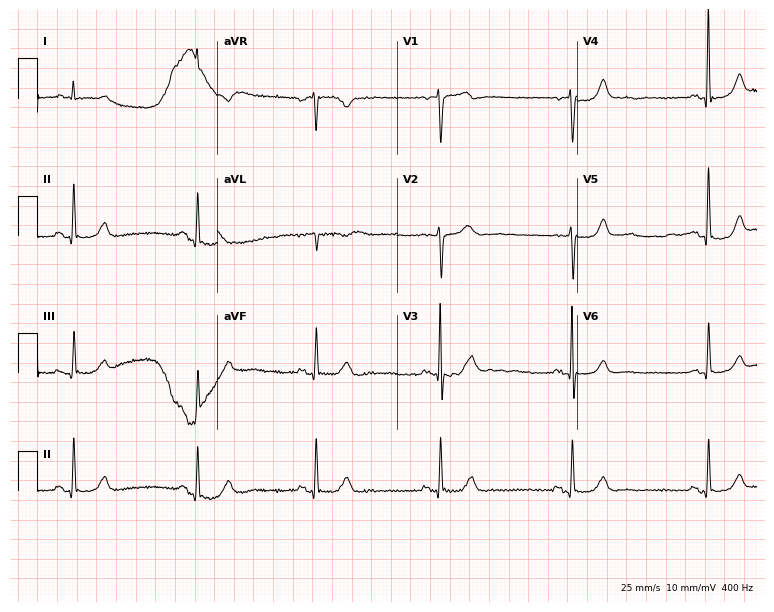
Resting 12-lead electrocardiogram. Patient: a 51-year-old male. The tracing shows sinus bradycardia (a sinus rate of 50 beats per minute or less).